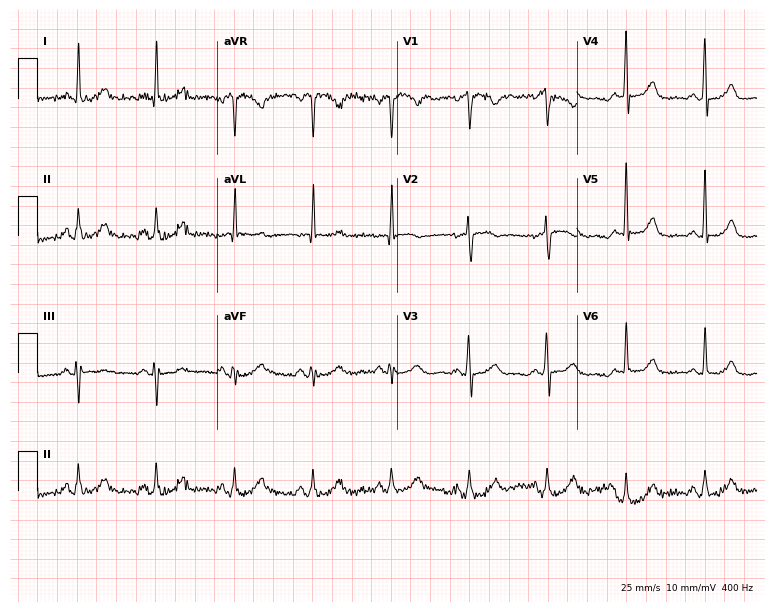
12-lead ECG from a 57-year-old female patient (7.3-second recording at 400 Hz). No first-degree AV block, right bundle branch block (RBBB), left bundle branch block (LBBB), sinus bradycardia, atrial fibrillation (AF) or sinus tachycardia recorded for this tracing. Only these six findings were labelled.